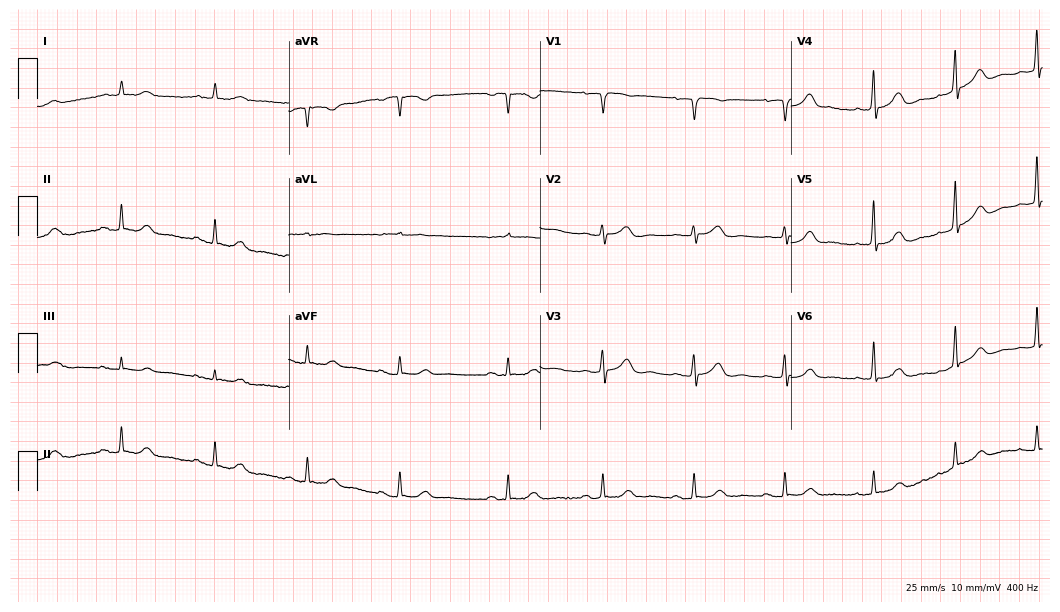
Resting 12-lead electrocardiogram. Patient: a male, 84 years old. Read as a normal ECG.